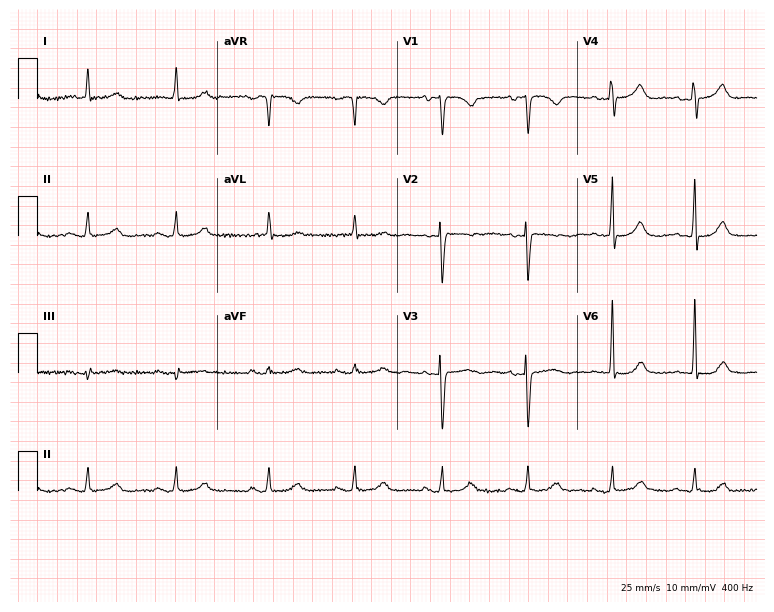
Standard 12-lead ECG recorded from a female patient, 75 years old (7.3-second recording at 400 Hz). Read as a normal ECG.